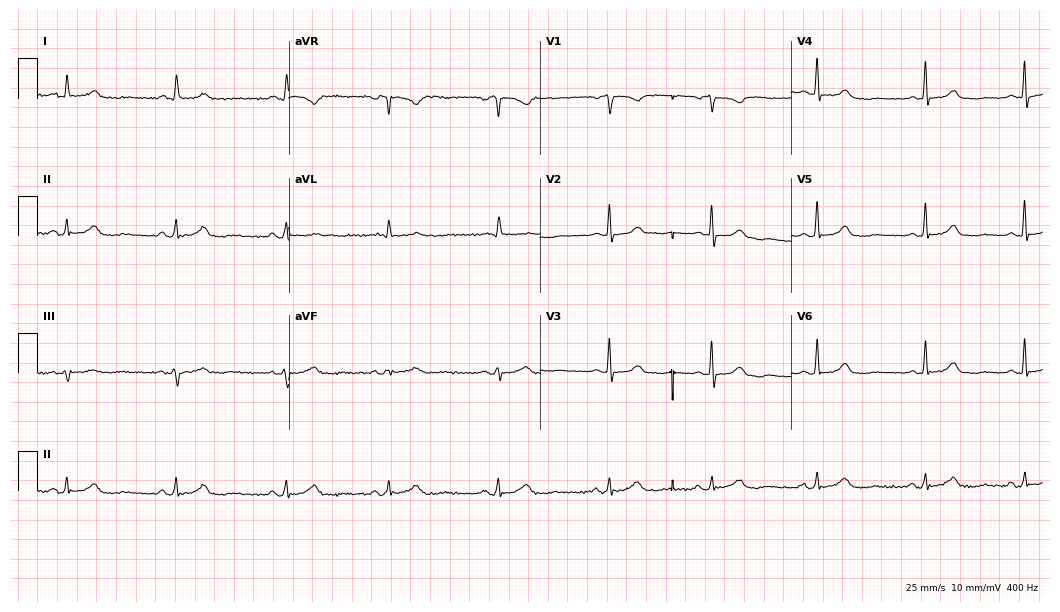
ECG — a woman, 70 years old. Screened for six findings — first-degree AV block, right bundle branch block, left bundle branch block, sinus bradycardia, atrial fibrillation, sinus tachycardia — none is recorded.